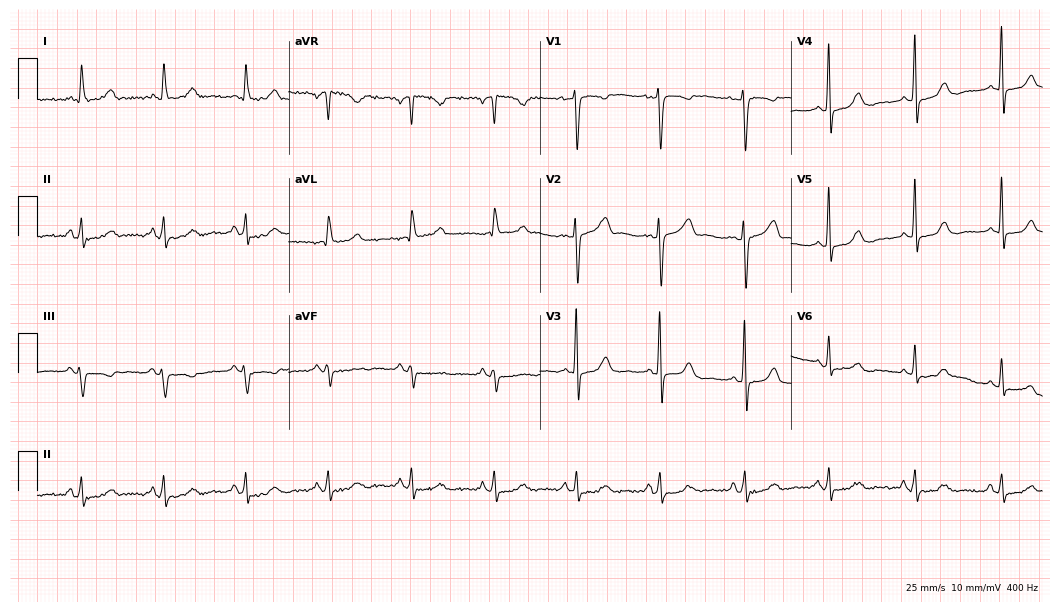
Standard 12-lead ECG recorded from a female, 57 years old (10.2-second recording at 400 Hz). Read as a normal ECG.